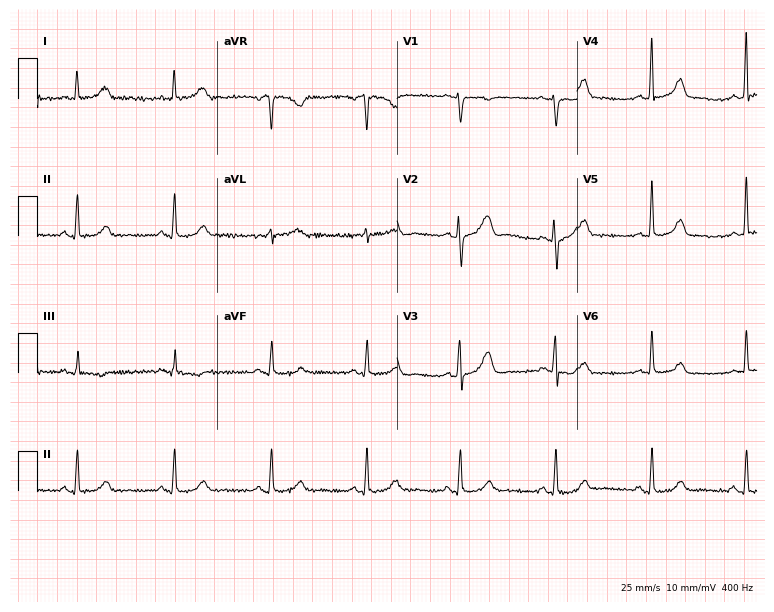
12-lead ECG from a 53-year-old female. No first-degree AV block, right bundle branch block (RBBB), left bundle branch block (LBBB), sinus bradycardia, atrial fibrillation (AF) or sinus tachycardia recorded for this tracing. Only these six findings were labelled.